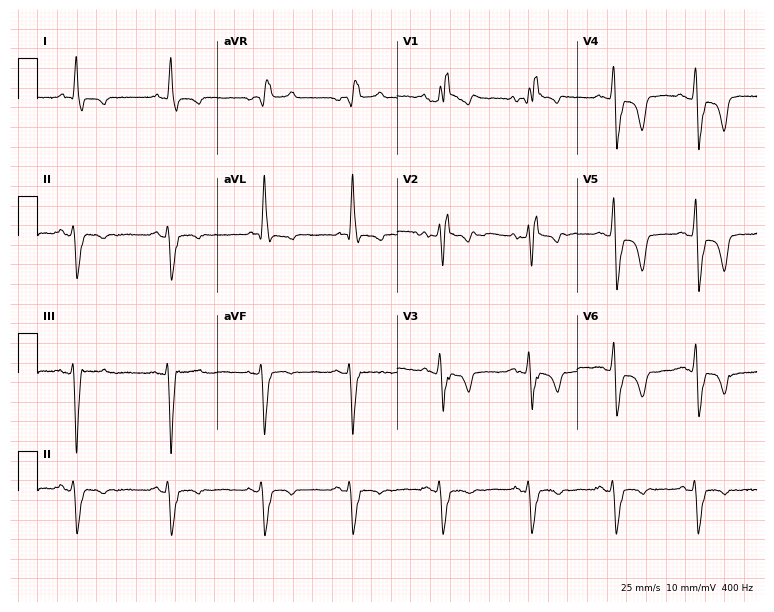
12-lead ECG from a 79-year-old man. Shows right bundle branch block.